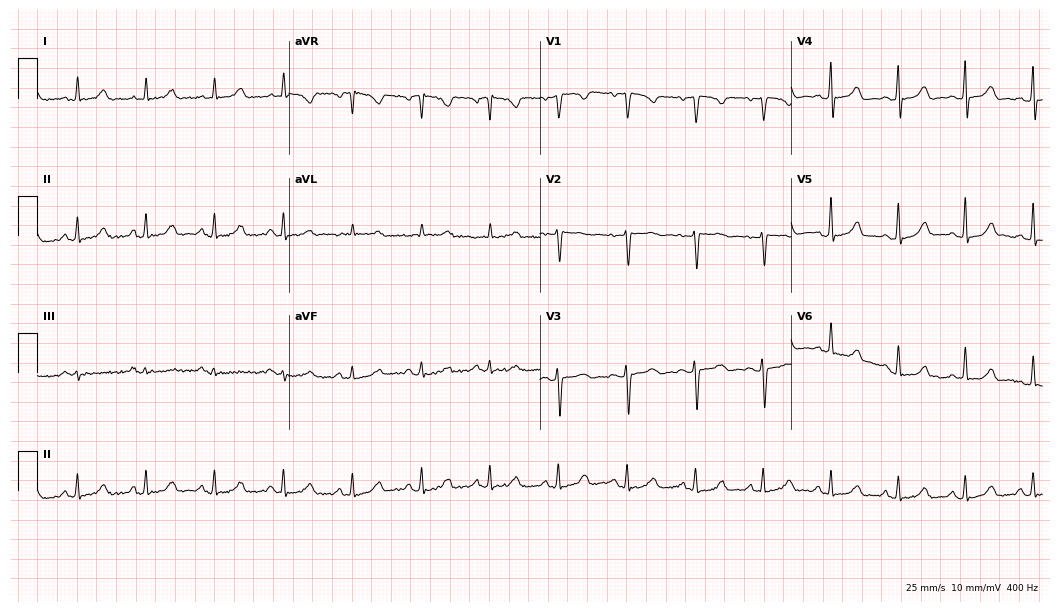
Electrocardiogram (10.2-second recording at 400 Hz), a 65-year-old female. Overall reading on record: normal ECG.